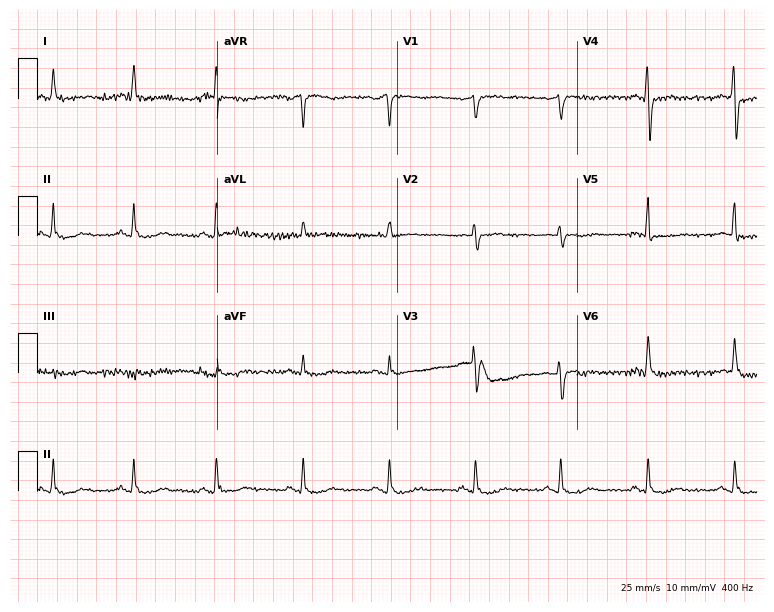
Standard 12-lead ECG recorded from a 76-year-old female patient (7.3-second recording at 400 Hz). None of these six findings is recorded: first-degree AV block, right bundle branch block, left bundle branch block, sinus bradycardia, atrial fibrillation, sinus tachycardia.